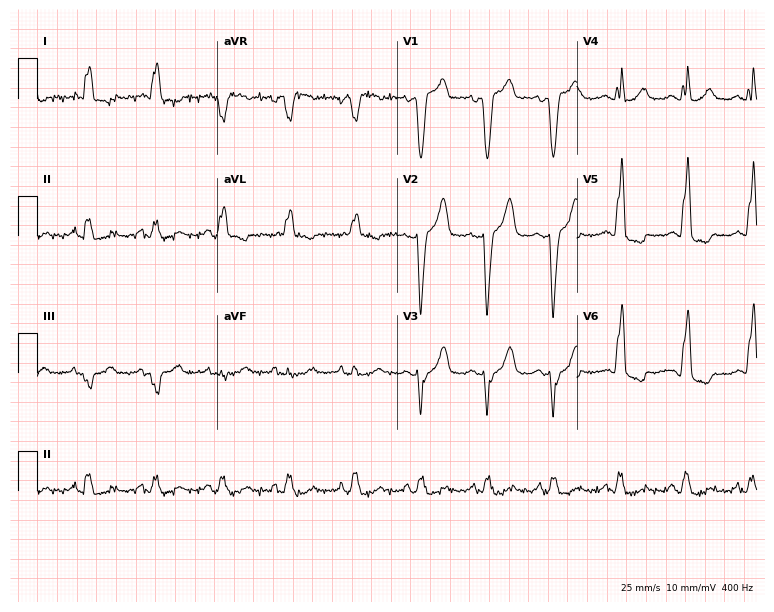
Resting 12-lead electrocardiogram. Patient: an 84-year-old male. The tracing shows left bundle branch block.